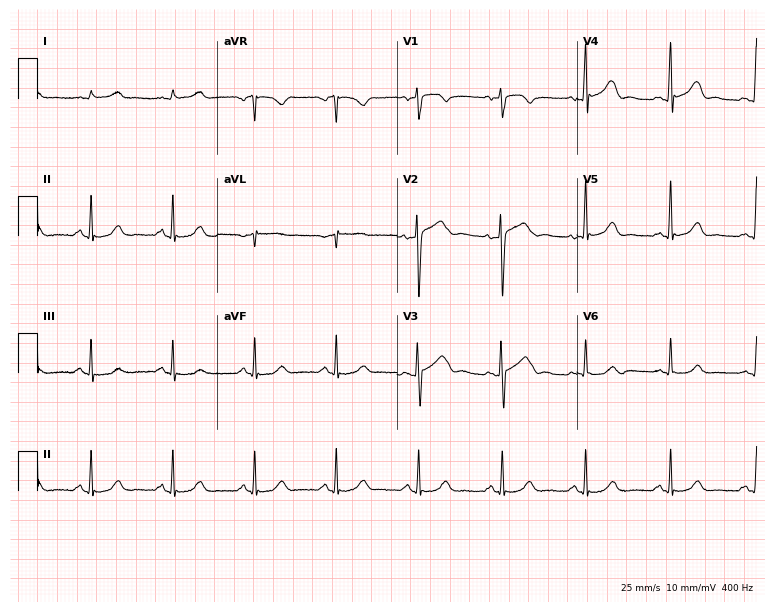
ECG — a man, 63 years old. Labelled as a normal ECG.